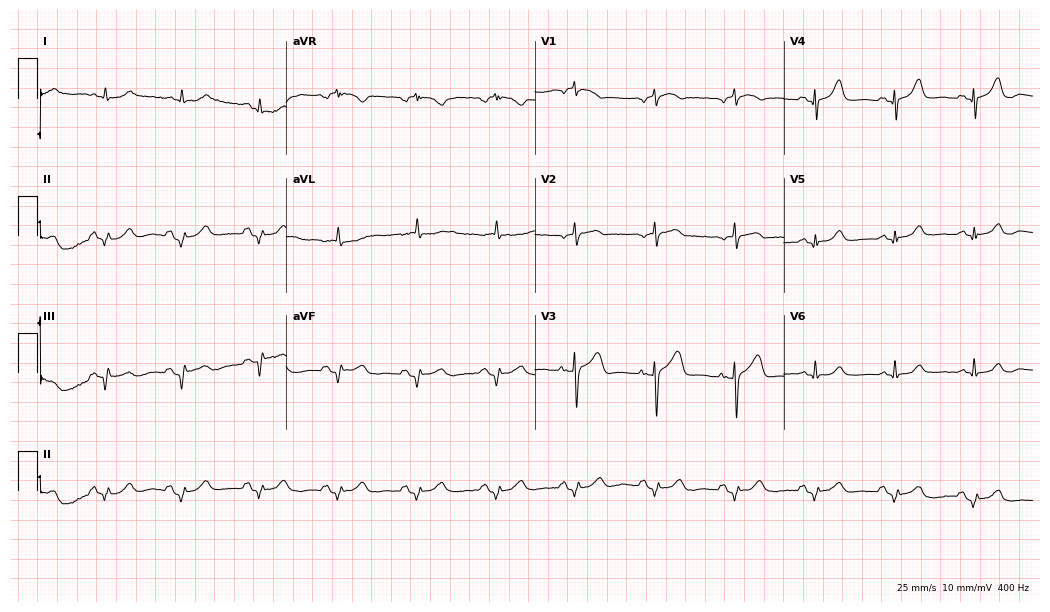
Standard 12-lead ECG recorded from a female, 83 years old. None of these six findings is recorded: first-degree AV block, right bundle branch block, left bundle branch block, sinus bradycardia, atrial fibrillation, sinus tachycardia.